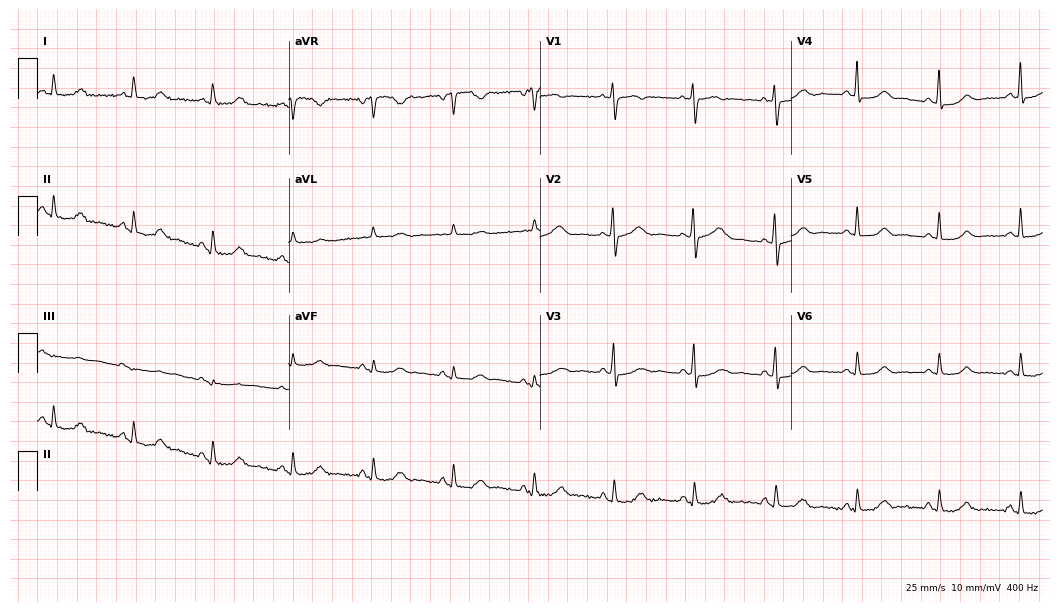
Electrocardiogram, a 61-year-old female patient. Overall reading on record: normal ECG.